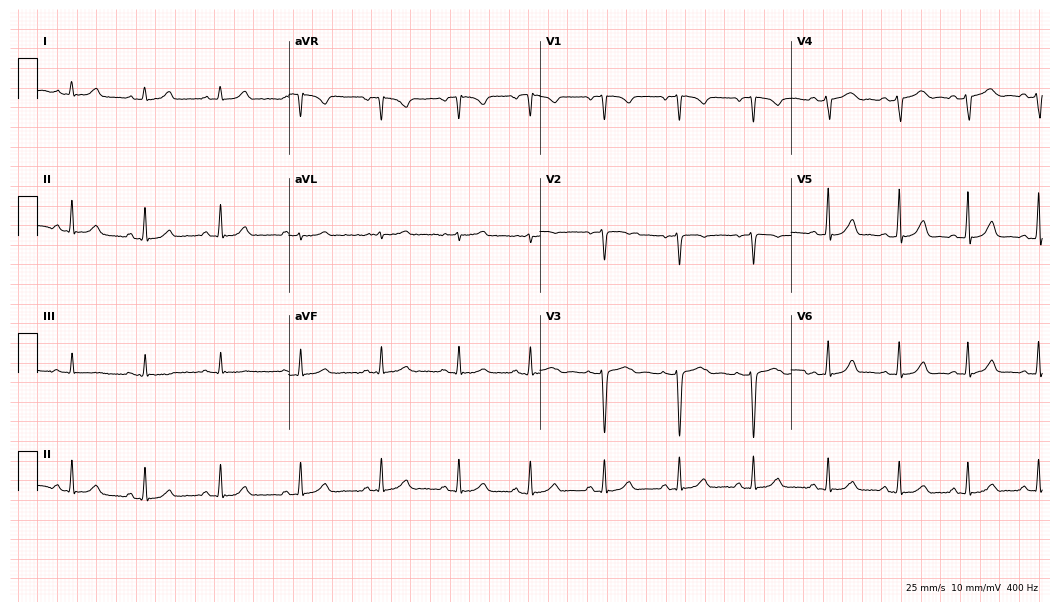
Resting 12-lead electrocardiogram. Patient: a woman, 22 years old. None of these six findings is recorded: first-degree AV block, right bundle branch block, left bundle branch block, sinus bradycardia, atrial fibrillation, sinus tachycardia.